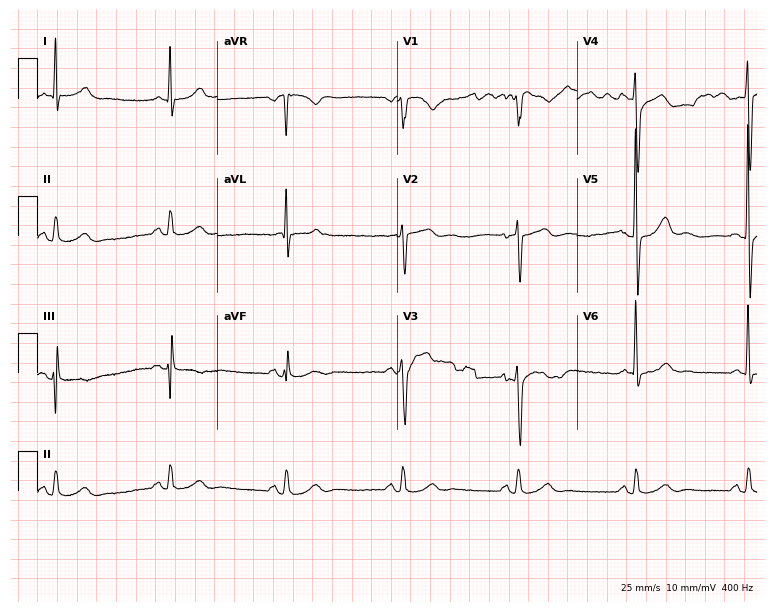
Standard 12-lead ECG recorded from a 69-year-old male (7.3-second recording at 400 Hz). None of these six findings is recorded: first-degree AV block, right bundle branch block (RBBB), left bundle branch block (LBBB), sinus bradycardia, atrial fibrillation (AF), sinus tachycardia.